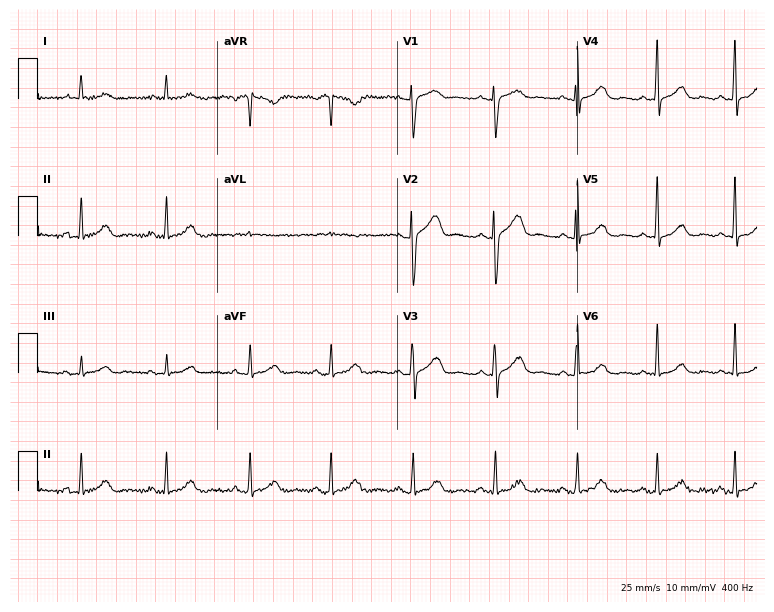
ECG (7.3-second recording at 400 Hz) — a 73-year-old woman. Screened for six findings — first-degree AV block, right bundle branch block (RBBB), left bundle branch block (LBBB), sinus bradycardia, atrial fibrillation (AF), sinus tachycardia — none is recorded.